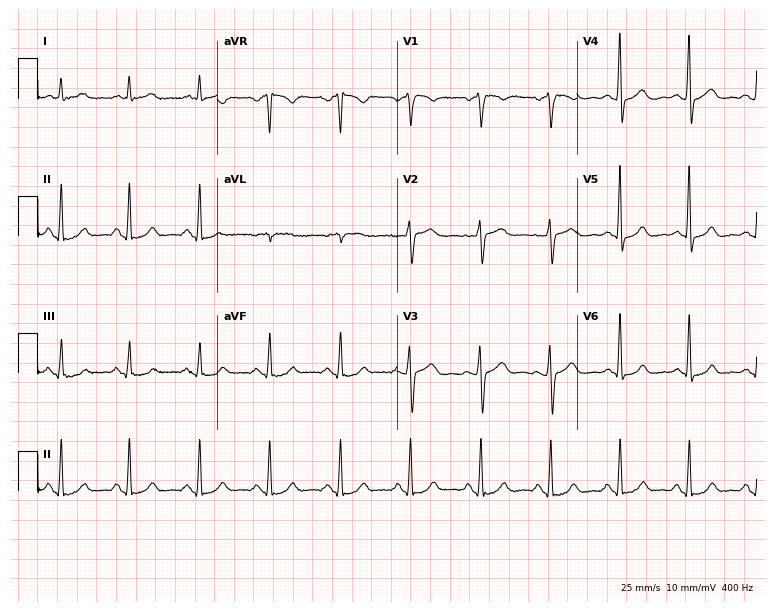
Electrocardiogram, a 59-year-old man. Overall reading on record: normal ECG.